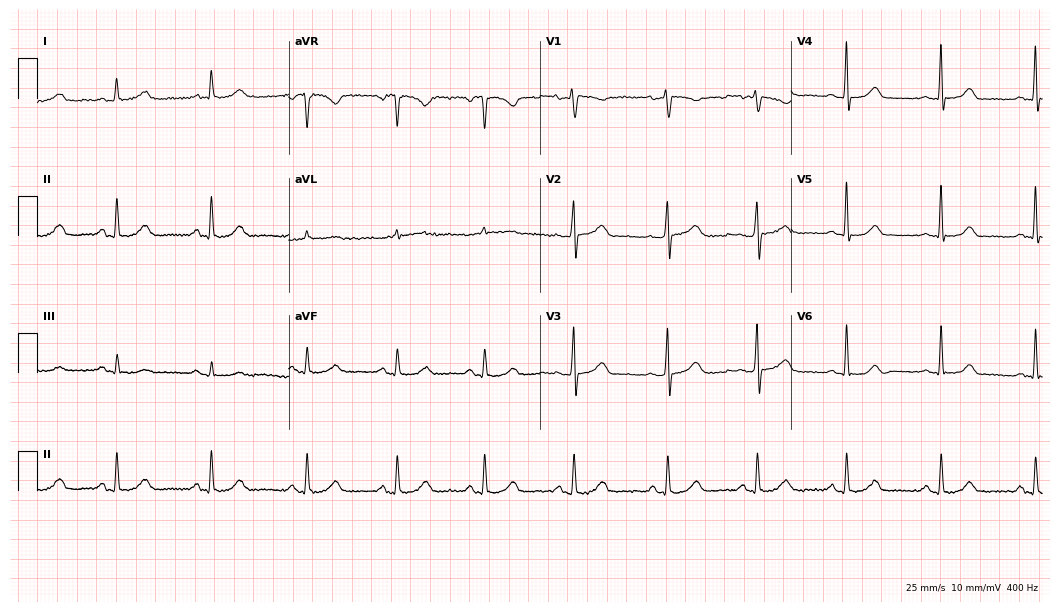
12-lead ECG from a woman, 56 years old. Labelled as a normal ECG.